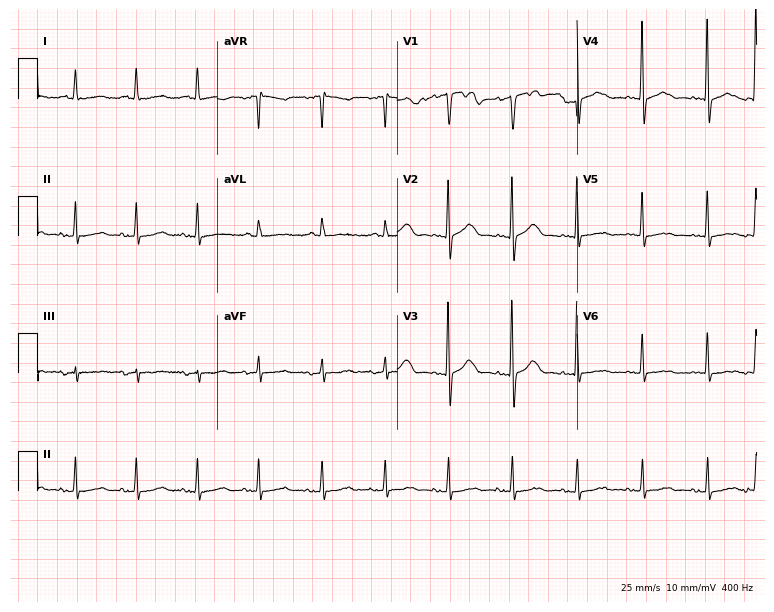
12-lead ECG from a 73-year-old woman. Screened for six findings — first-degree AV block, right bundle branch block (RBBB), left bundle branch block (LBBB), sinus bradycardia, atrial fibrillation (AF), sinus tachycardia — none is recorded. Other findings, if any, are not listed.